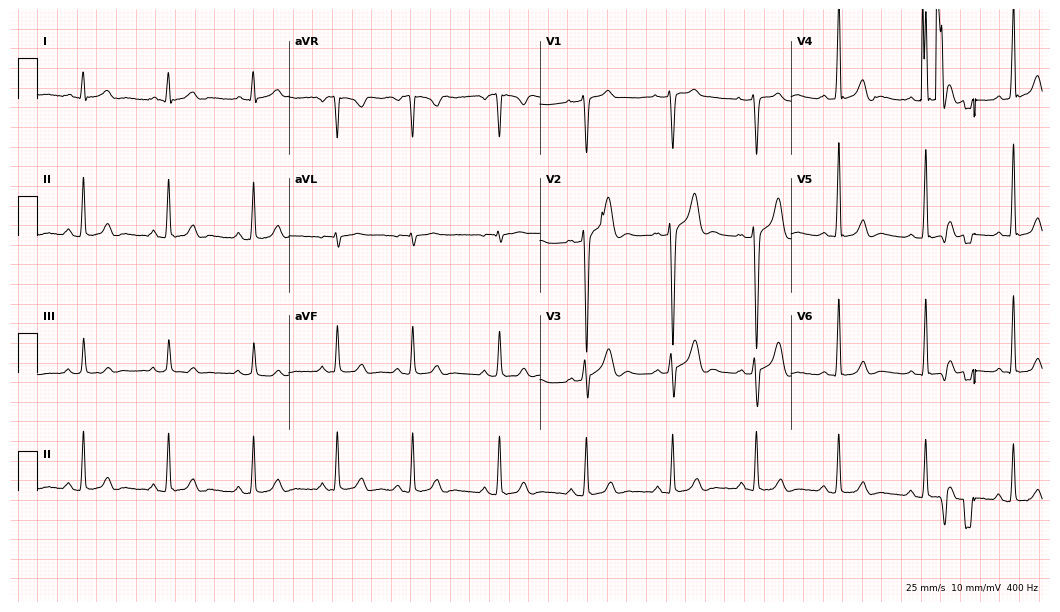
12-lead ECG from a male, 24 years old (10.2-second recording at 400 Hz). No first-degree AV block, right bundle branch block (RBBB), left bundle branch block (LBBB), sinus bradycardia, atrial fibrillation (AF) or sinus tachycardia recorded for this tracing. Other findings, if any, are not listed.